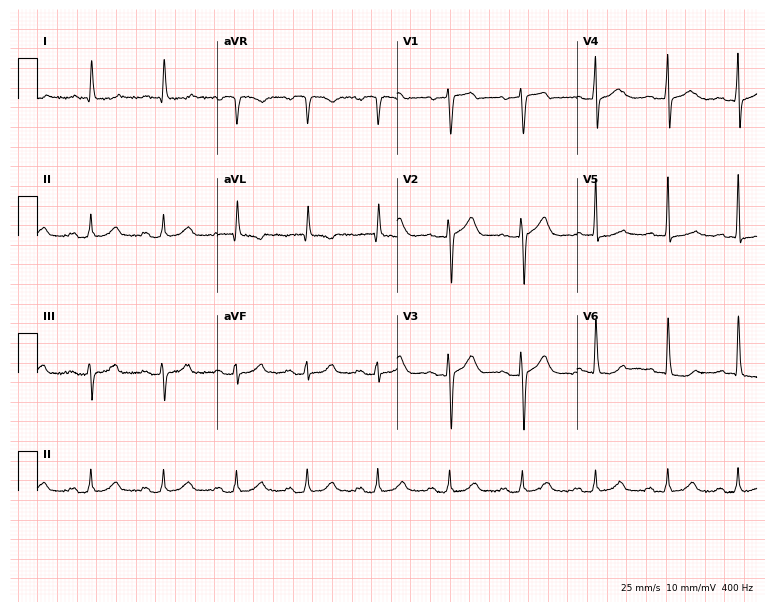
Resting 12-lead electrocardiogram (7.3-second recording at 400 Hz). Patient: a 71-year-old female. None of these six findings is recorded: first-degree AV block, right bundle branch block, left bundle branch block, sinus bradycardia, atrial fibrillation, sinus tachycardia.